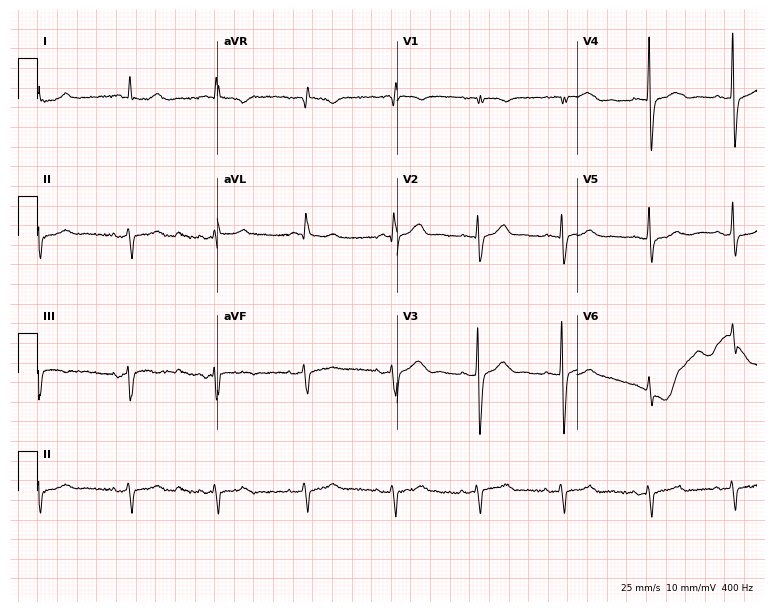
Electrocardiogram (7.3-second recording at 400 Hz), a man, 70 years old. Of the six screened findings (first-degree AV block, right bundle branch block (RBBB), left bundle branch block (LBBB), sinus bradycardia, atrial fibrillation (AF), sinus tachycardia), none is recorded.